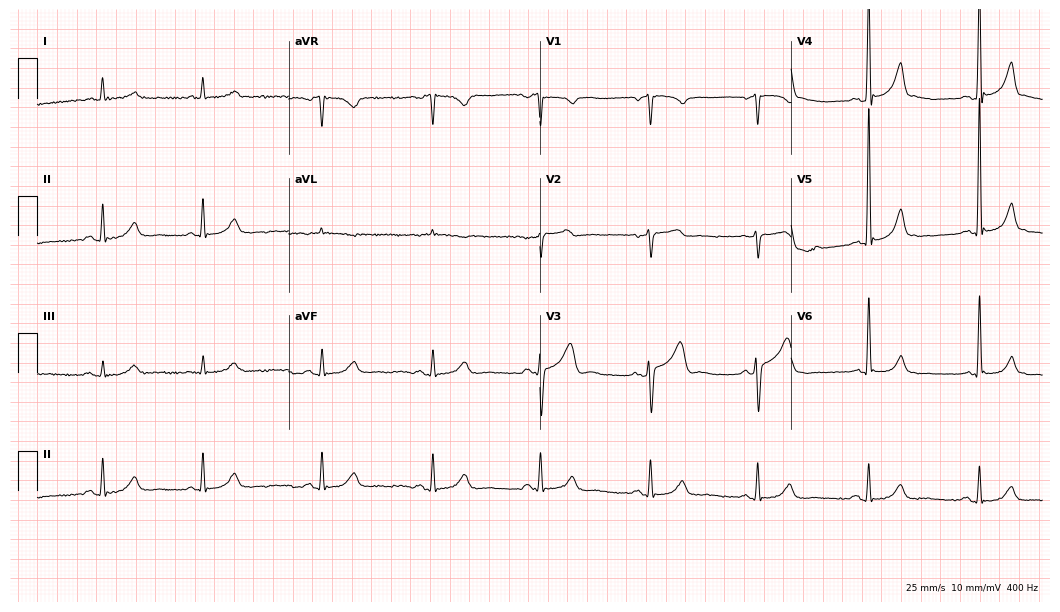
Resting 12-lead electrocardiogram (10.2-second recording at 400 Hz). Patient: a 74-year-old man. None of these six findings is recorded: first-degree AV block, right bundle branch block, left bundle branch block, sinus bradycardia, atrial fibrillation, sinus tachycardia. Other findings, if any, are not listed.